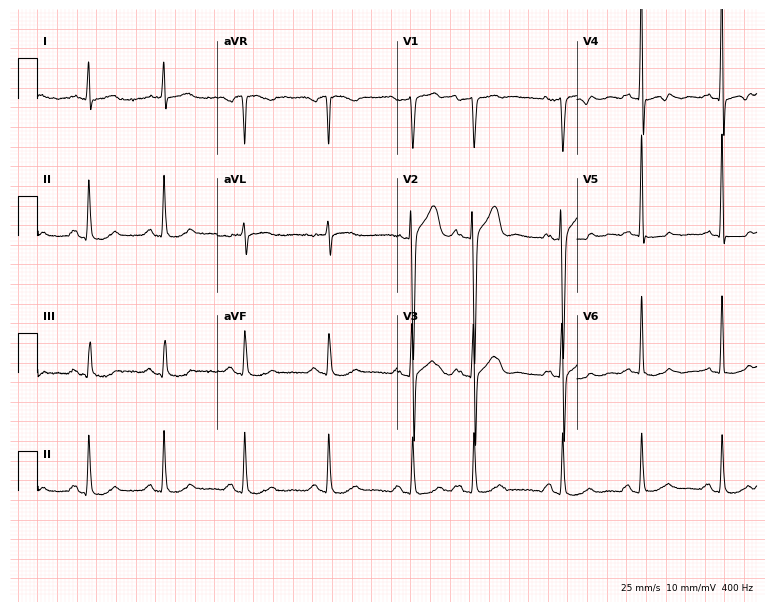
Resting 12-lead electrocardiogram (7.3-second recording at 400 Hz). Patient: a 60-year-old male. None of these six findings is recorded: first-degree AV block, right bundle branch block, left bundle branch block, sinus bradycardia, atrial fibrillation, sinus tachycardia.